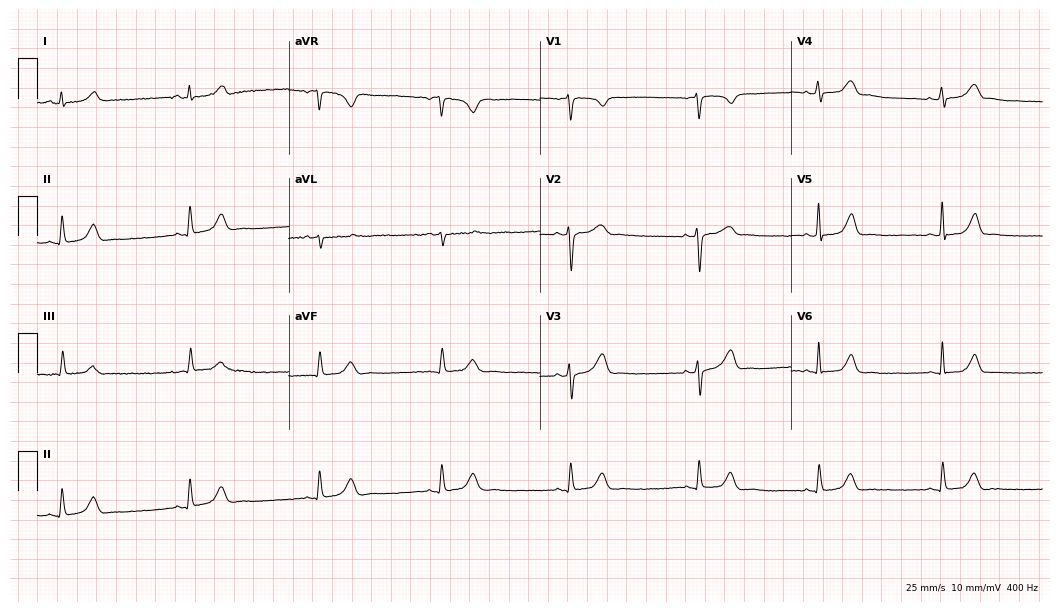
12-lead ECG (10.2-second recording at 400 Hz) from a 43-year-old woman. Findings include sinus bradycardia (a sinus rate of 50 beats per minute or less).